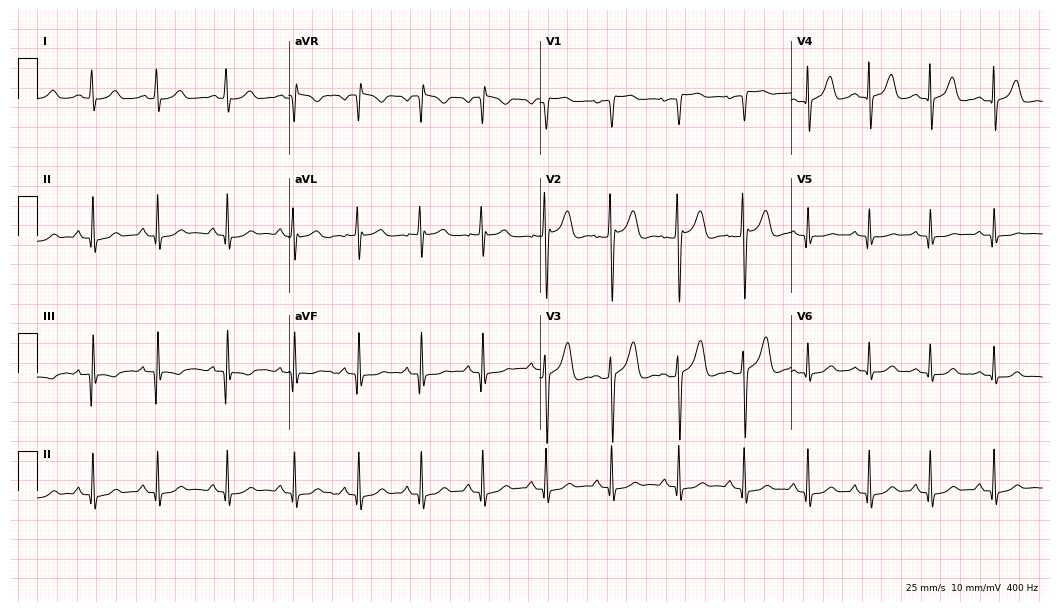
ECG — a 19-year-old female patient. Screened for six findings — first-degree AV block, right bundle branch block, left bundle branch block, sinus bradycardia, atrial fibrillation, sinus tachycardia — none is recorded.